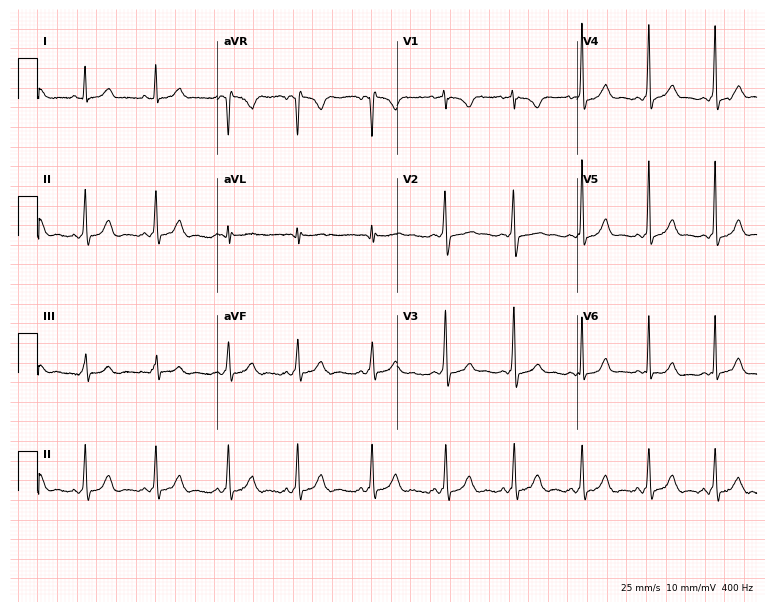
ECG (7.3-second recording at 400 Hz) — a 19-year-old female. Screened for six findings — first-degree AV block, right bundle branch block (RBBB), left bundle branch block (LBBB), sinus bradycardia, atrial fibrillation (AF), sinus tachycardia — none is recorded.